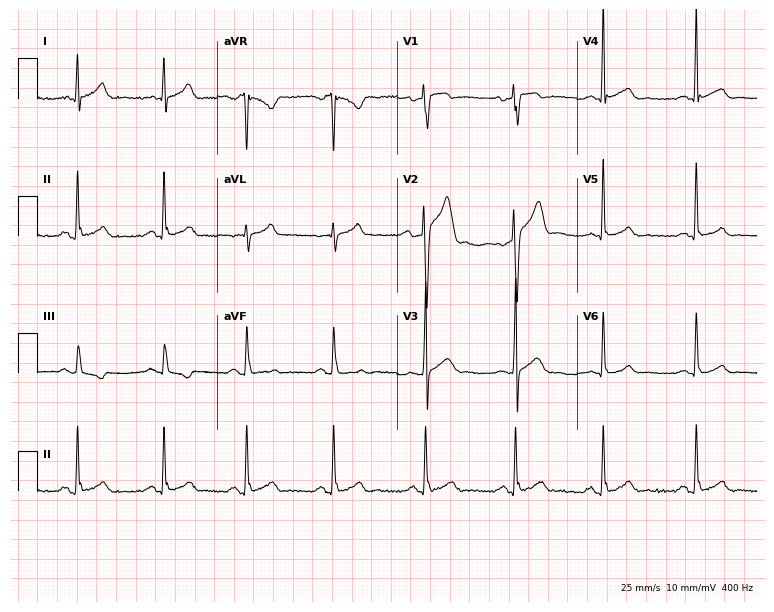
12-lead ECG from a 24-year-old man (7.3-second recording at 400 Hz). Recorded interpretation: within normal limits.